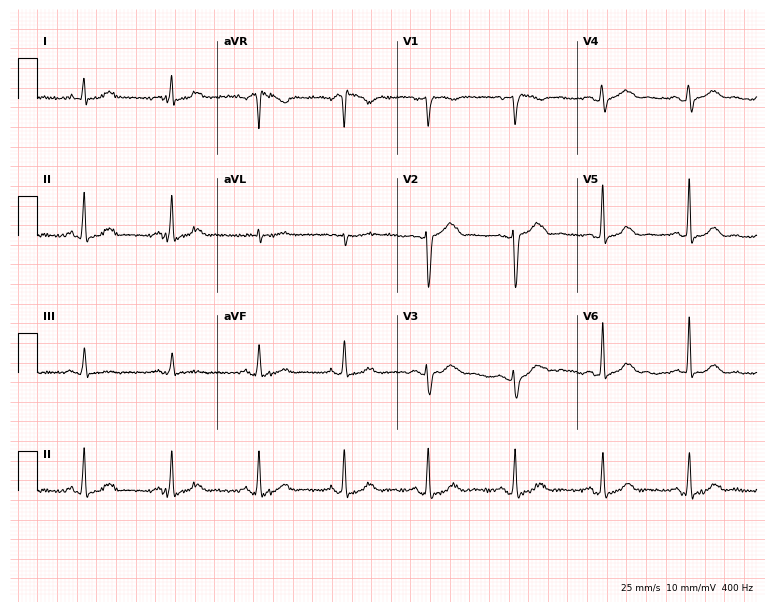
Resting 12-lead electrocardiogram. Patient: a female, 56 years old. None of these six findings is recorded: first-degree AV block, right bundle branch block (RBBB), left bundle branch block (LBBB), sinus bradycardia, atrial fibrillation (AF), sinus tachycardia. Other findings, if any, are not listed.